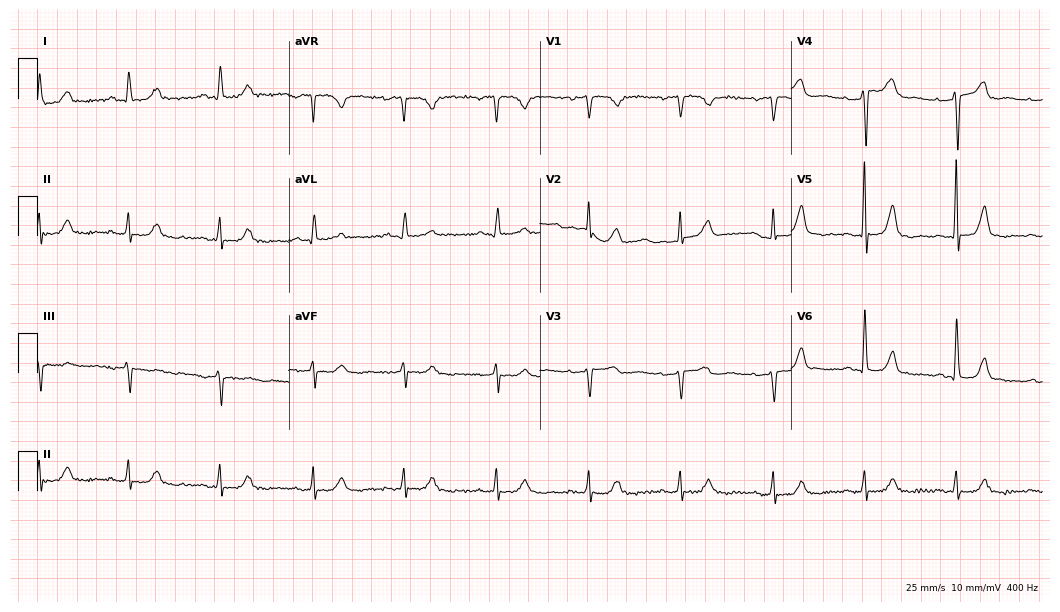
Electrocardiogram (10.2-second recording at 400 Hz), a female, 79 years old. Overall reading on record: normal ECG.